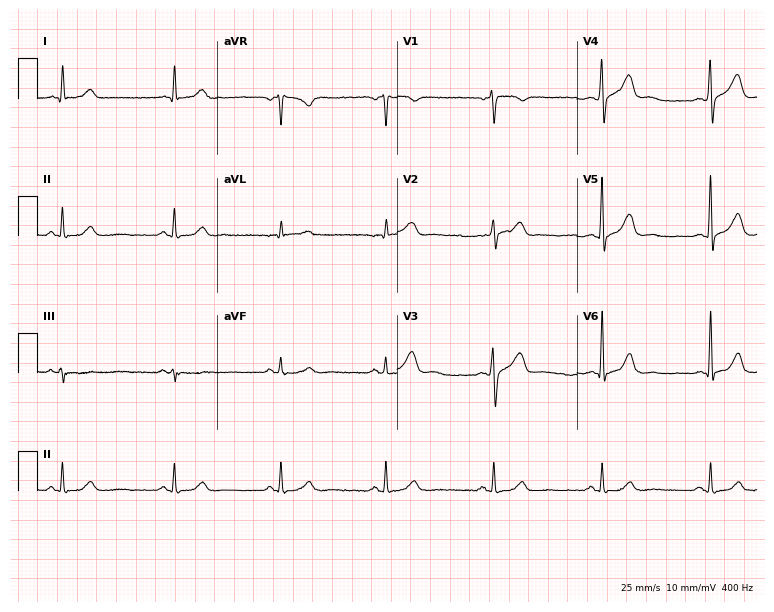
Standard 12-lead ECG recorded from a 62-year-old male patient. Read as a normal ECG.